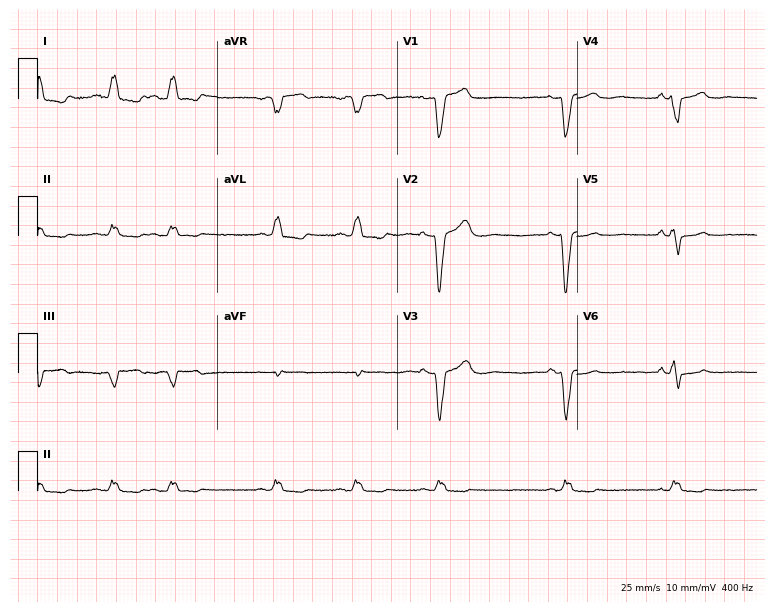
12-lead ECG from a female patient, 57 years old. No first-degree AV block, right bundle branch block (RBBB), left bundle branch block (LBBB), sinus bradycardia, atrial fibrillation (AF) or sinus tachycardia recorded for this tracing.